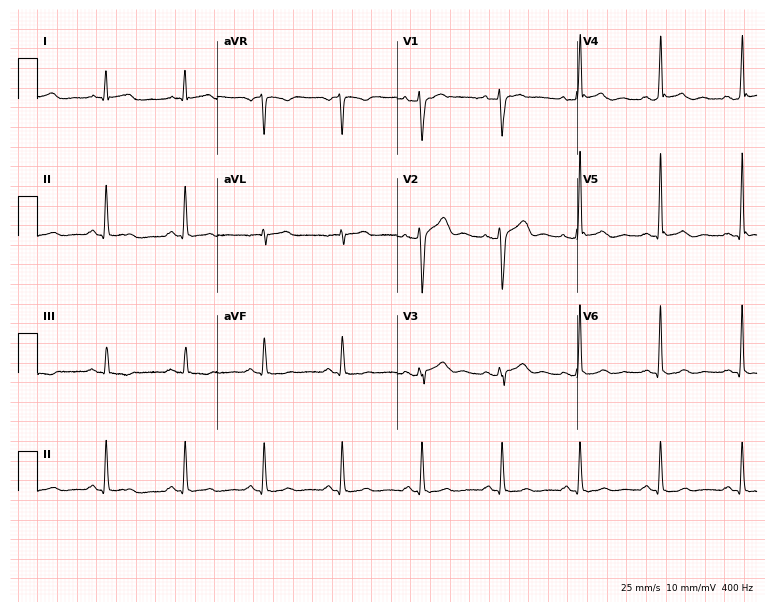
Resting 12-lead electrocardiogram (7.3-second recording at 400 Hz). Patient: a male, 36 years old. None of these six findings is recorded: first-degree AV block, right bundle branch block (RBBB), left bundle branch block (LBBB), sinus bradycardia, atrial fibrillation (AF), sinus tachycardia.